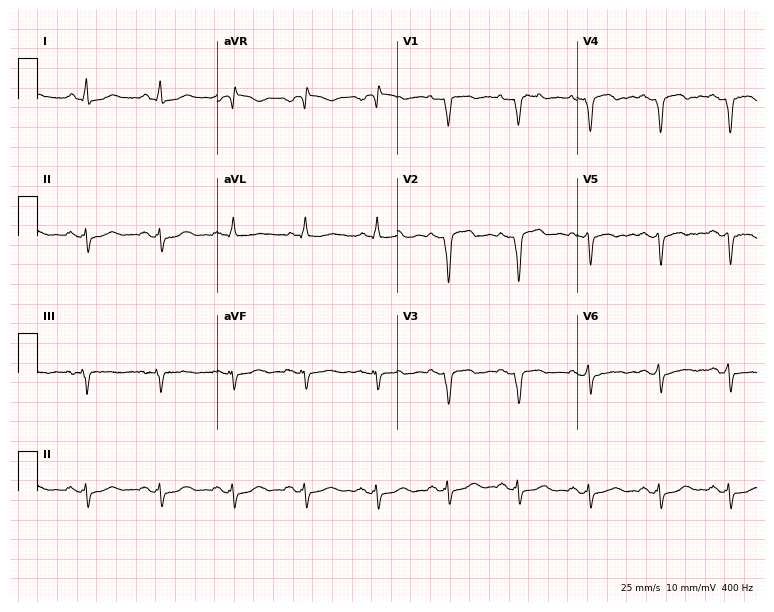
Electrocardiogram (7.3-second recording at 400 Hz), a man, 57 years old. Of the six screened findings (first-degree AV block, right bundle branch block (RBBB), left bundle branch block (LBBB), sinus bradycardia, atrial fibrillation (AF), sinus tachycardia), none is recorded.